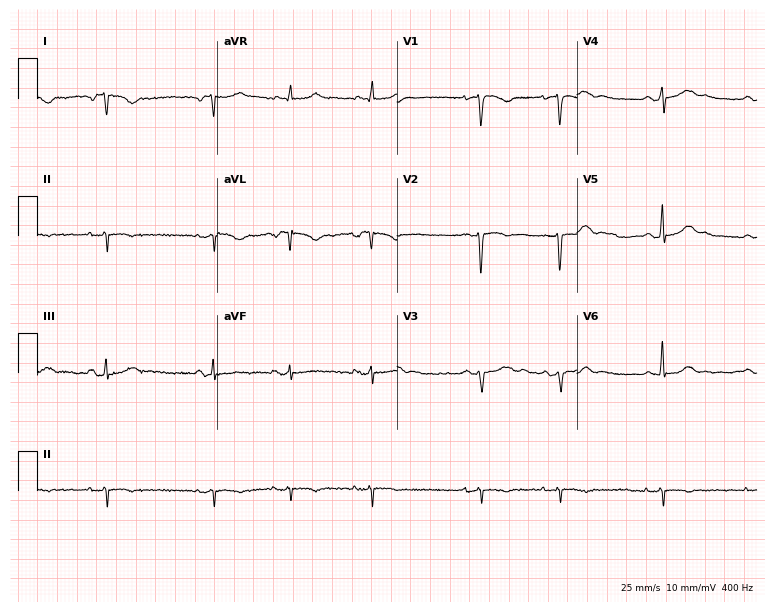
Standard 12-lead ECG recorded from a female patient, 28 years old (7.3-second recording at 400 Hz). None of these six findings is recorded: first-degree AV block, right bundle branch block (RBBB), left bundle branch block (LBBB), sinus bradycardia, atrial fibrillation (AF), sinus tachycardia.